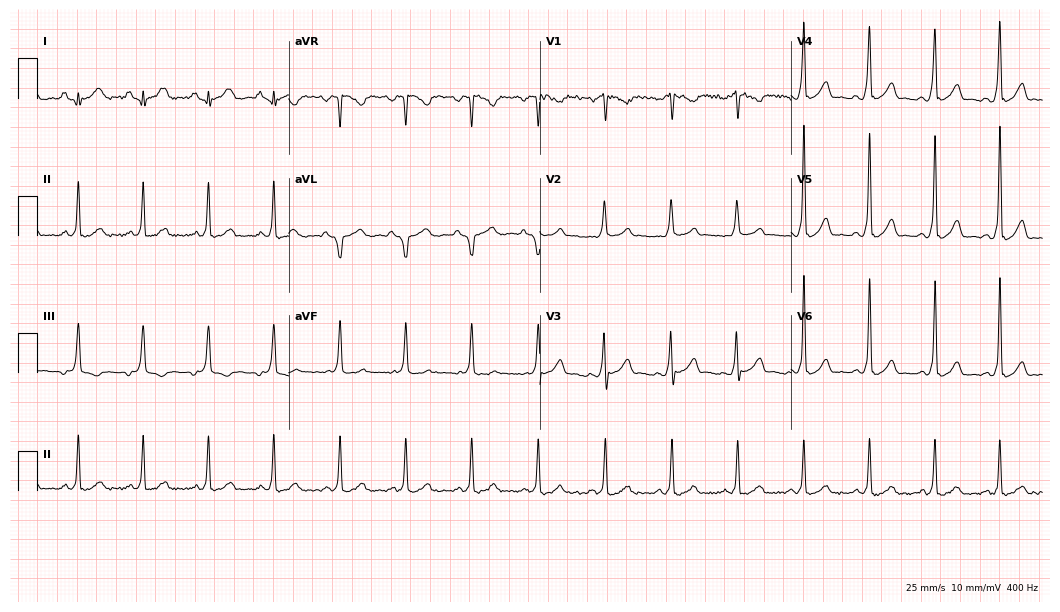
ECG (10.2-second recording at 400 Hz) — a 38-year-old male patient. Screened for six findings — first-degree AV block, right bundle branch block, left bundle branch block, sinus bradycardia, atrial fibrillation, sinus tachycardia — none is recorded. Only these six findings were labelled.